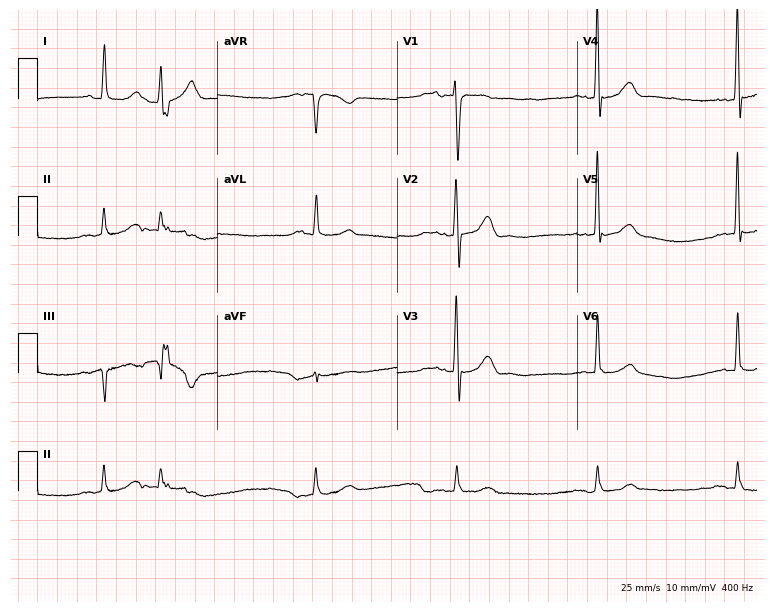
Resting 12-lead electrocardiogram. Patient: an 81-year-old man. None of these six findings is recorded: first-degree AV block, right bundle branch block (RBBB), left bundle branch block (LBBB), sinus bradycardia, atrial fibrillation (AF), sinus tachycardia. Other findings, if any, are not listed.